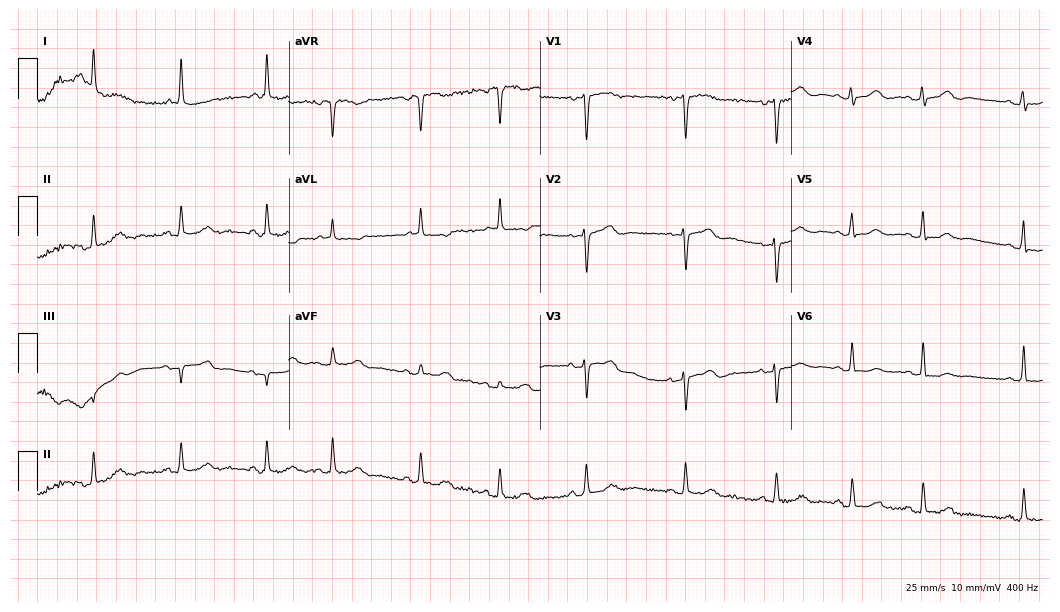
12-lead ECG from a 65-year-old female (10.2-second recording at 400 Hz). No first-degree AV block, right bundle branch block, left bundle branch block, sinus bradycardia, atrial fibrillation or sinus tachycardia recorded for this tracing.